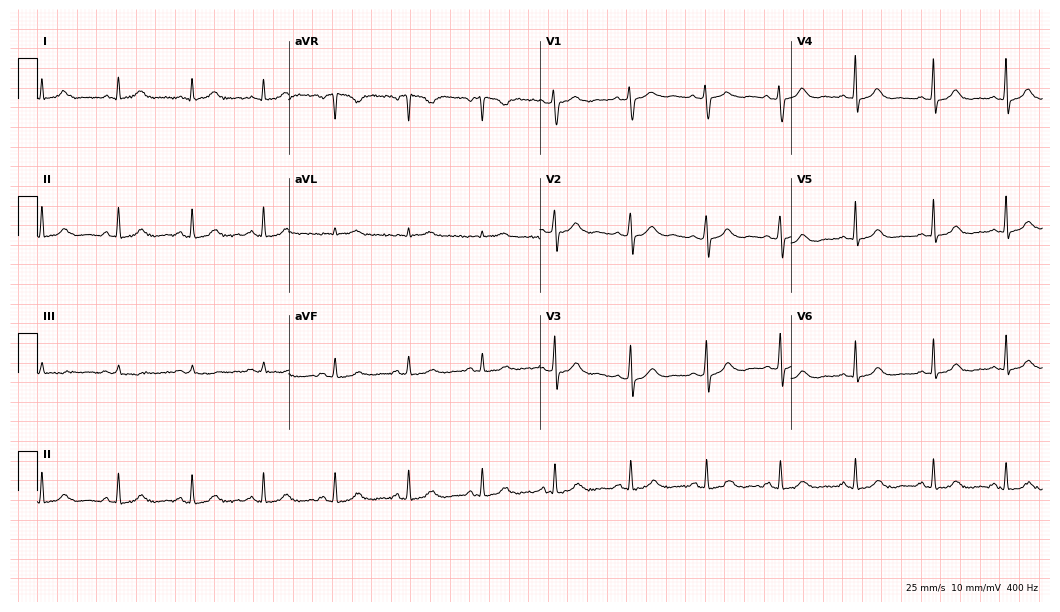
Electrocardiogram, a 38-year-old female. Of the six screened findings (first-degree AV block, right bundle branch block, left bundle branch block, sinus bradycardia, atrial fibrillation, sinus tachycardia), none is recorded.